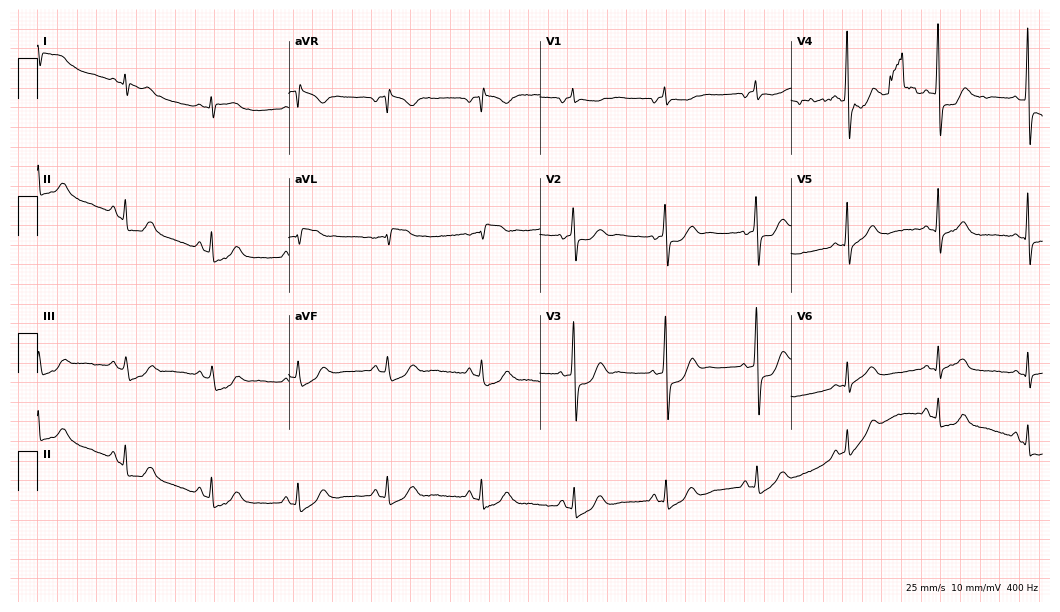
12-lead ECG from a male, 68 years old. Screened for six findings — first-degree AV block, right bundle branch block (RBBB), left bundle branch block (LBBB), sinus bradycardia, atrial fibrillation (AF), sinus tachycardia — none is recorded. Only these six findings were labelled.